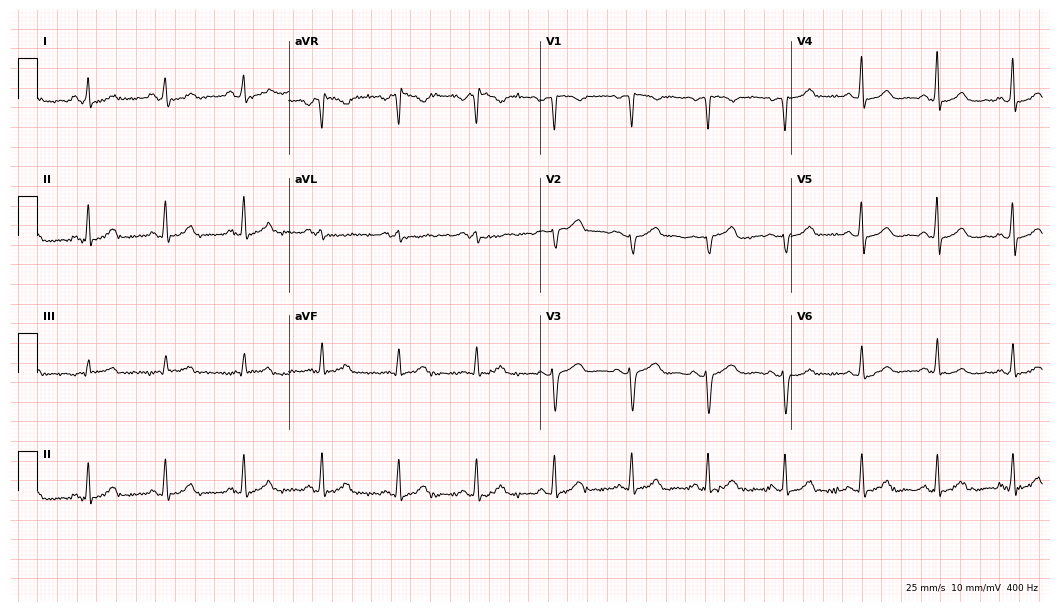
Standard 12-lead ECG recorded from a 53-year-old female patient. Read as a normal ECG.